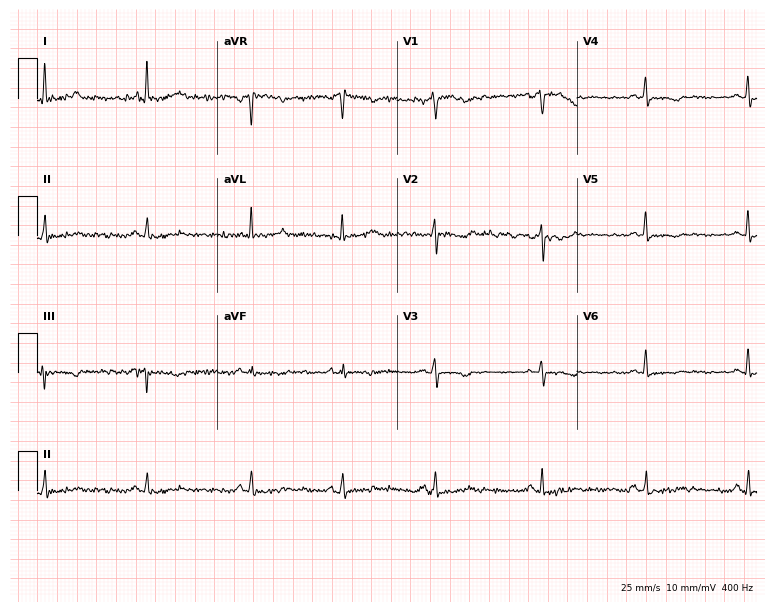
Electrocardiogram, a woman, 37 years old. Of the six screened findings (first-degree AV block, right bundle branch block (RBBB), left bundle branch block (LBBB), sinus bradycardia, atrial fibrillation (AF), sinus tachycardia), none is recorded.